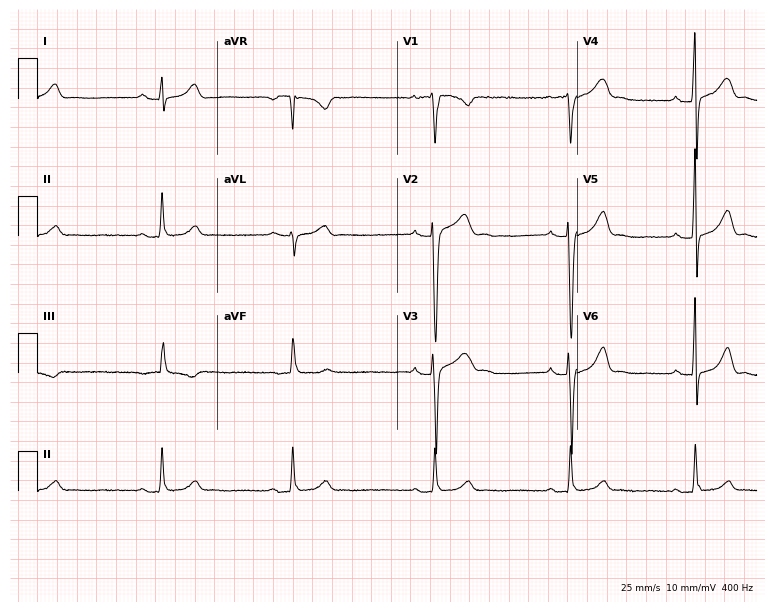
12-lead ECG from a male patient, 30 years old. Findings include first-degree AV block, sinus bradycardia (a sinus rate of 50 beats per minute or less).